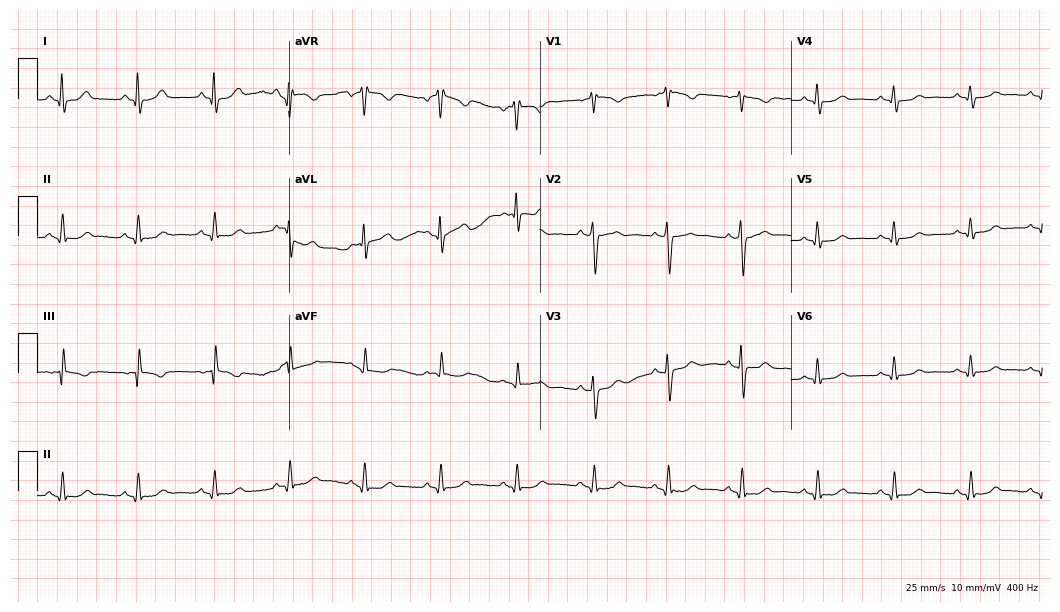
Standard 12-lead ECG recorded from a 53-year-old female (10.2-second recording at 400 Hz). Read as a normal ECG.